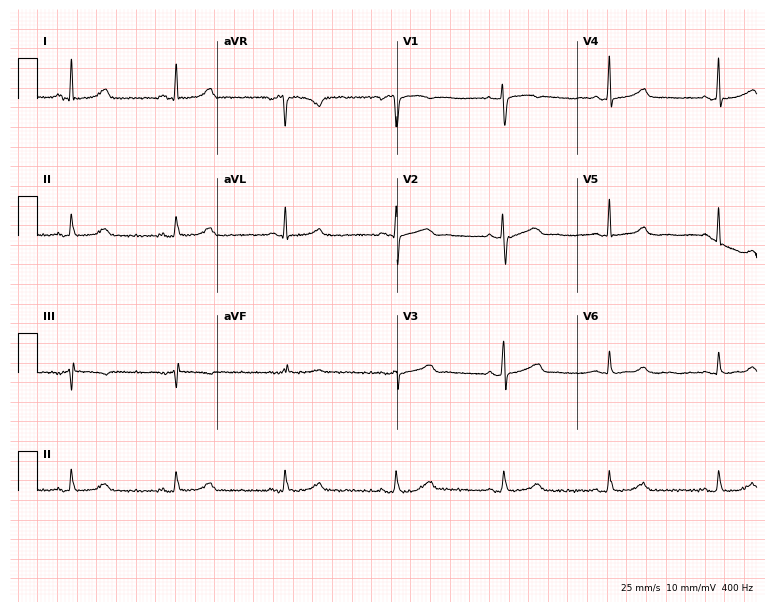
Electrocardiogram (7.3-second recording at 400 Hz), a 37-year-old female patient. Of the six screened findings (first-degree AV block, right bundle branch block, left bundle branch block, sinus bradycardia, atrial fibrillation, sinus tachycardia), none is recorded. Findings outside these six are not listed.